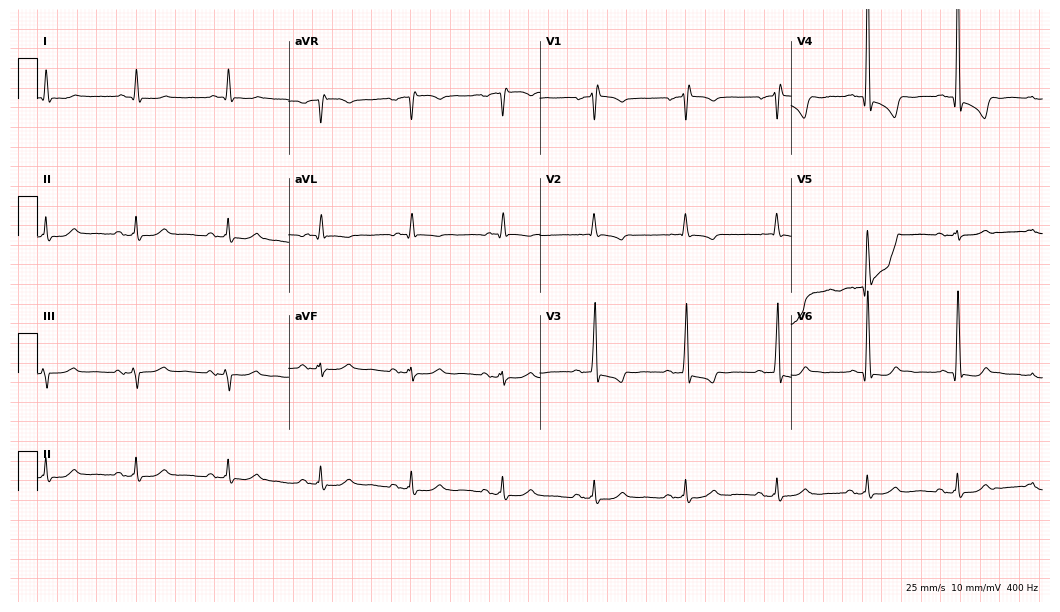
Standard 12-lead ECG recorded from a woman, 79 years old (10.2-second recording at 400 Hz). None of these six findings is recorded: first-degree AV block, right bundle branch block (RBBB), left bundle branch block (LBBB), sinus bradycardia, atrial fibrillation (AF), sinus tachycardia.